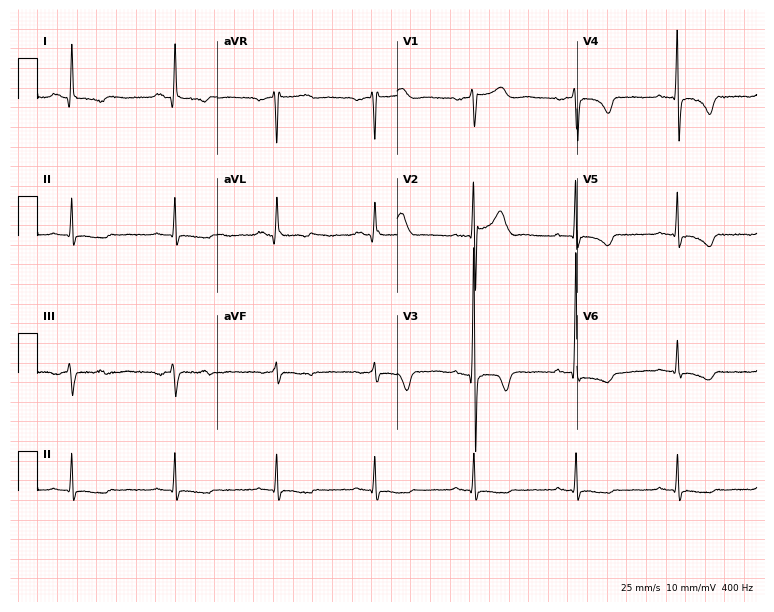
12-lead ECG from a 61-year-old male (7.3-second recording at 400 Hz). No first-degree AV block, right bundle branch block, left bundle branch block, sinus bradycardia, atrial fibrillation or sinus tachycardia recorded for this tracing. Findings outside these six are not listed.